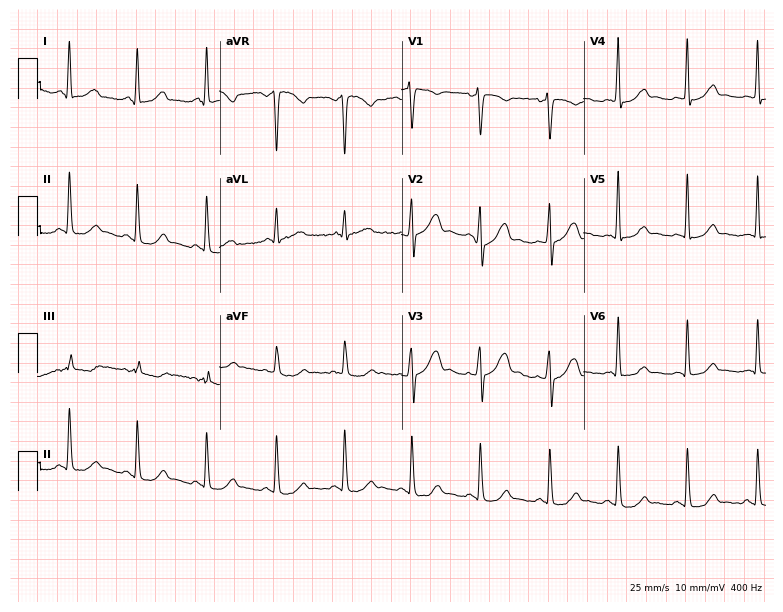
Resting 12-lead electrocardiogram. Patient: a female, 40 years old. Read as a normal ECG.